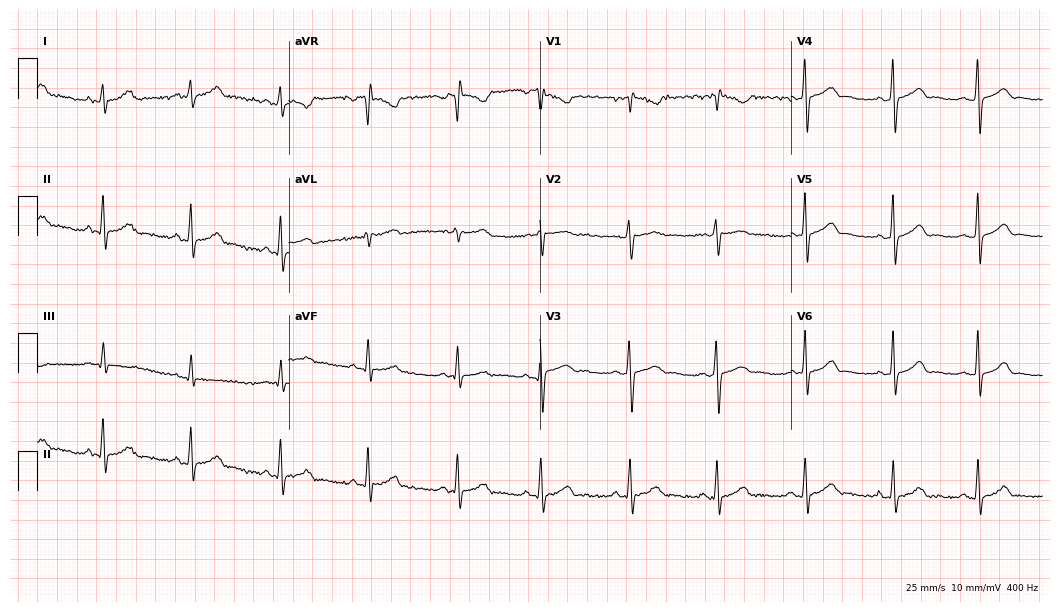
Standard 12-lead ECG recorded from a woman, 25 years old (10.2-second recording at 400 Hz). Read as a normal ECG.